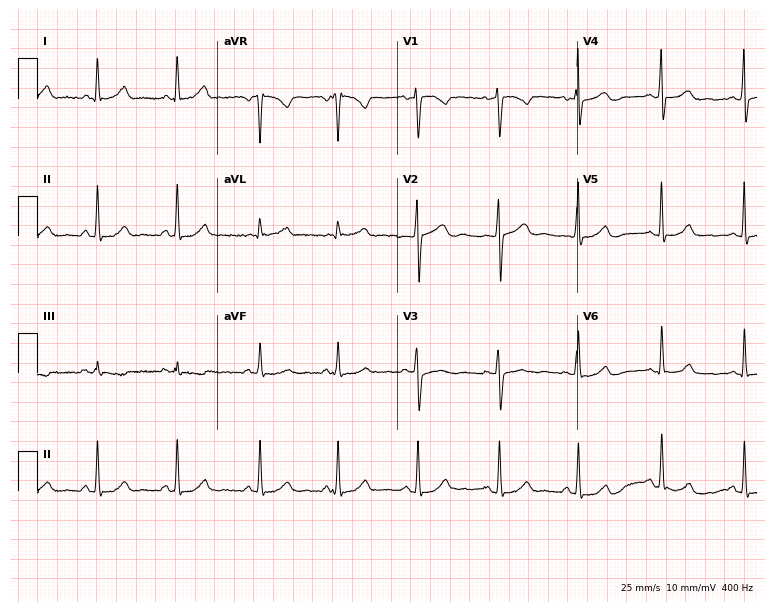
Standard 12-lead ECG recorded from a female, 28 years old (7.3-second recording at 400 Hz). Read as a normal ECG.